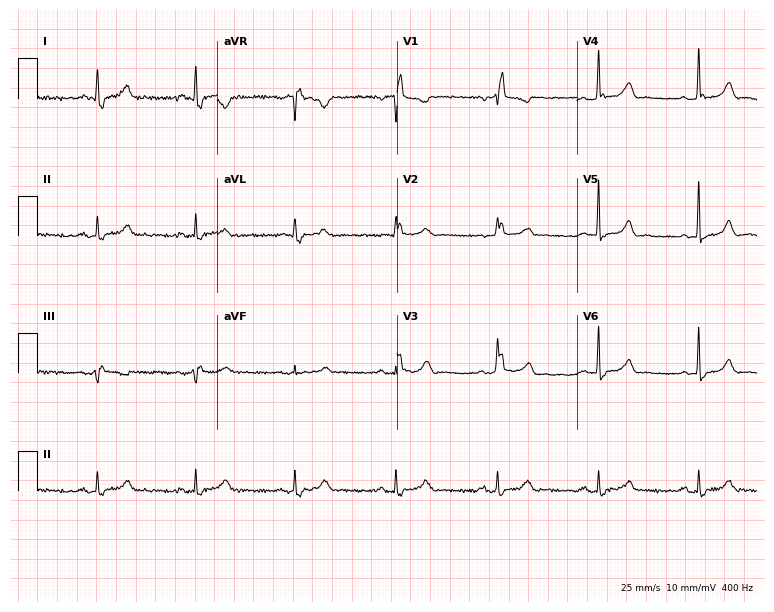
Standard 12-lead ECG recorded from a 68-year-old female. None of these six findings is recorded: first-degree AV block, right bundle branch block, left bundle branch block, sinus bradycardia, atrial fibrillation, sinus tachycardia. Other findings, if any, are not listed.